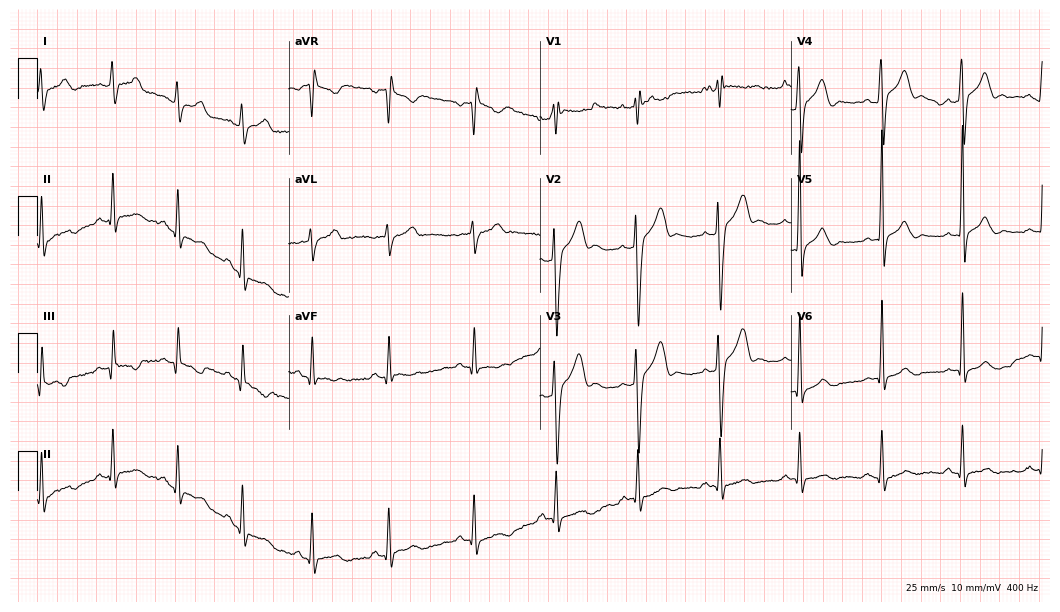
Electrocardiogram (10.2-second recording at 400 Hz), a 27-year-old male. Of the six screened findings (first-degree AV block, right bundle branch block, left bundle branch block, sinus bradycardia, atrial fibrillation, sinus tachycardia), none is recorded.